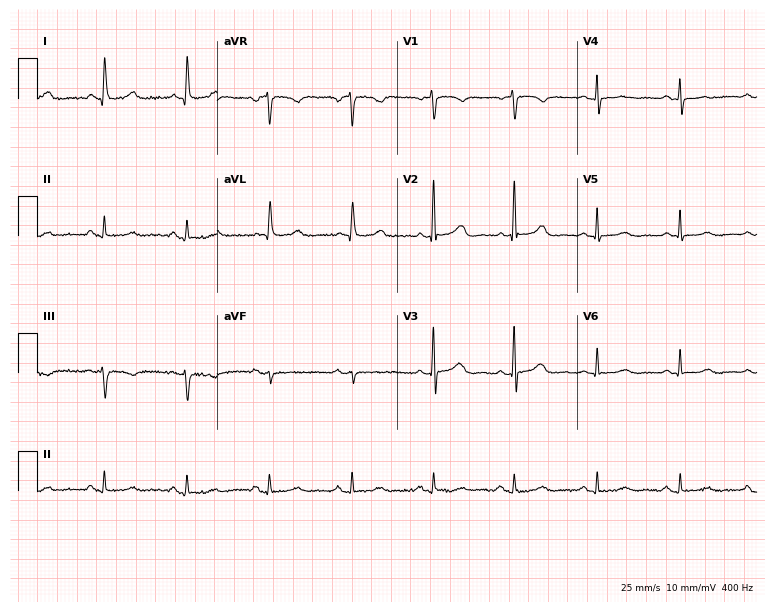
12-lead ECG from a female, 78 years old (7.3-second recording at 400 Hz). Recorded interpretation: within normal limits.